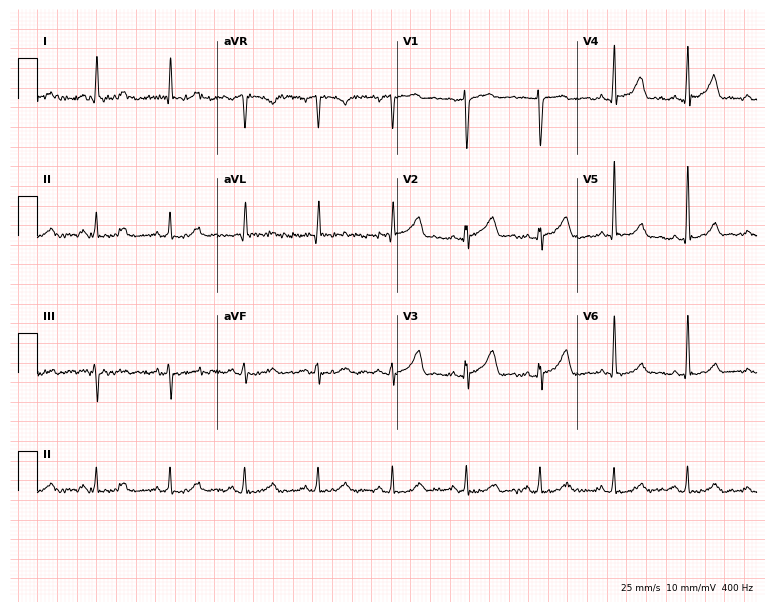
12-lead ECG from a 71-year-old man. Labelled as a normal ECG.